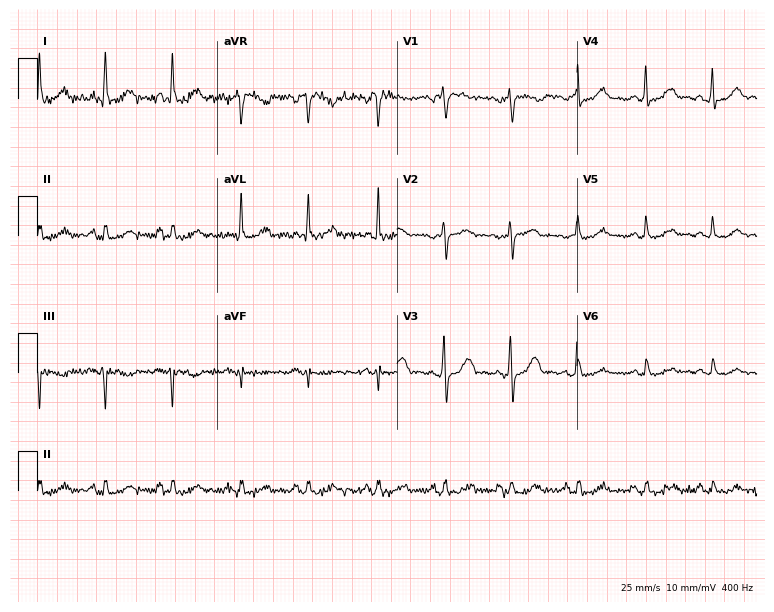
Electrocardiogram, a 63-year-old female. Of the six screened findings (first-degree AV block, right bundle branch block (RBBB), left bundle branch block (LBBB), sinus bradycardia, atrial fibrillation (AF), sinus tachycardia), none is recorded. Only these six findings were labelled.